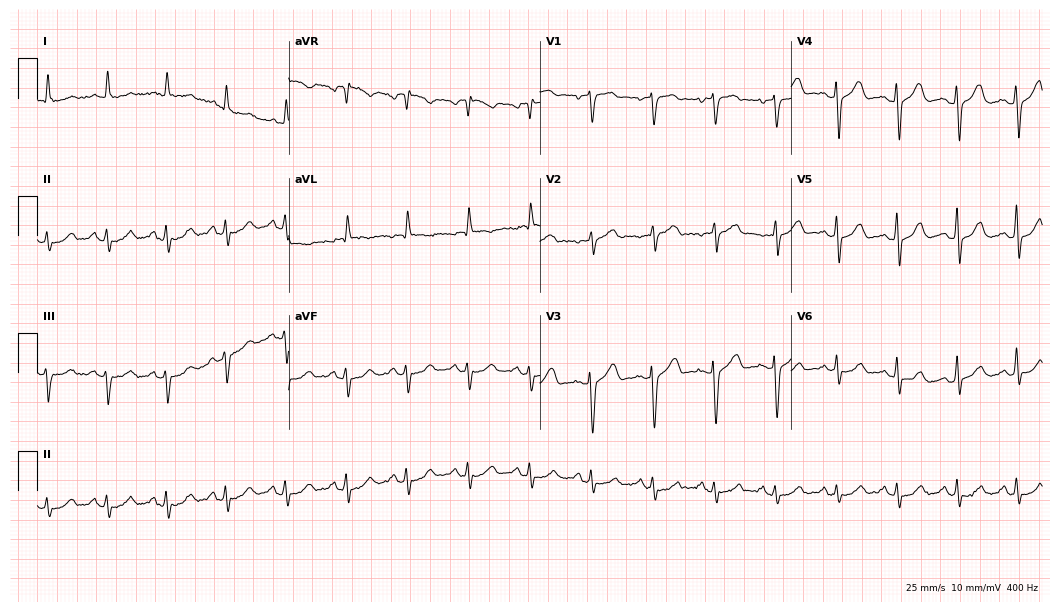
ECG (10.2-second recording at 400 Hz) — a 62-year-old female. Labelled as a normal ECG.